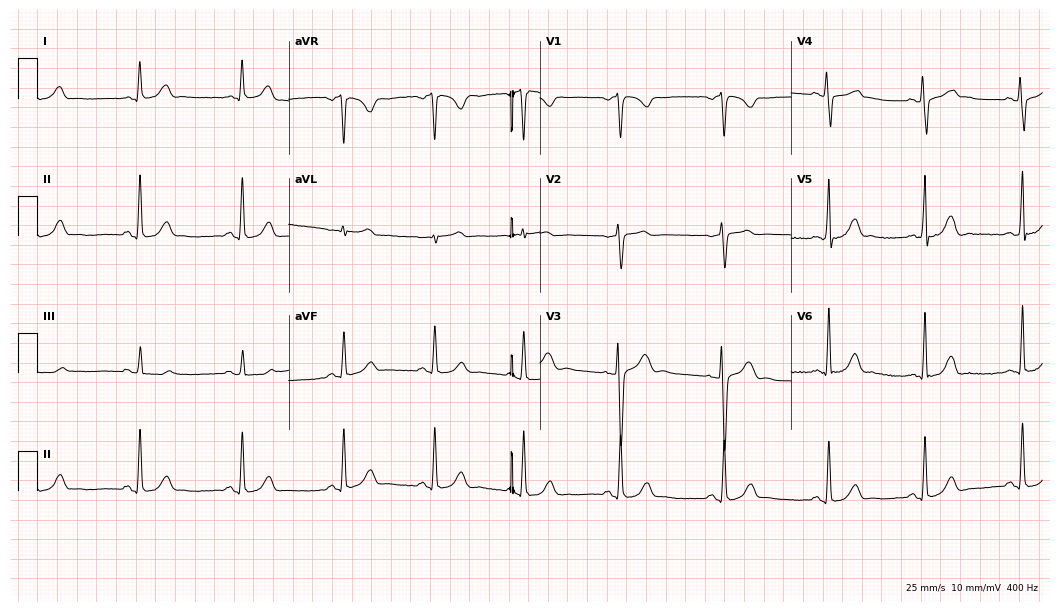
12-lead ECG (10.2-second recording at 400 Hz) from a female, 38 years old. Labelled as a normal ECG.